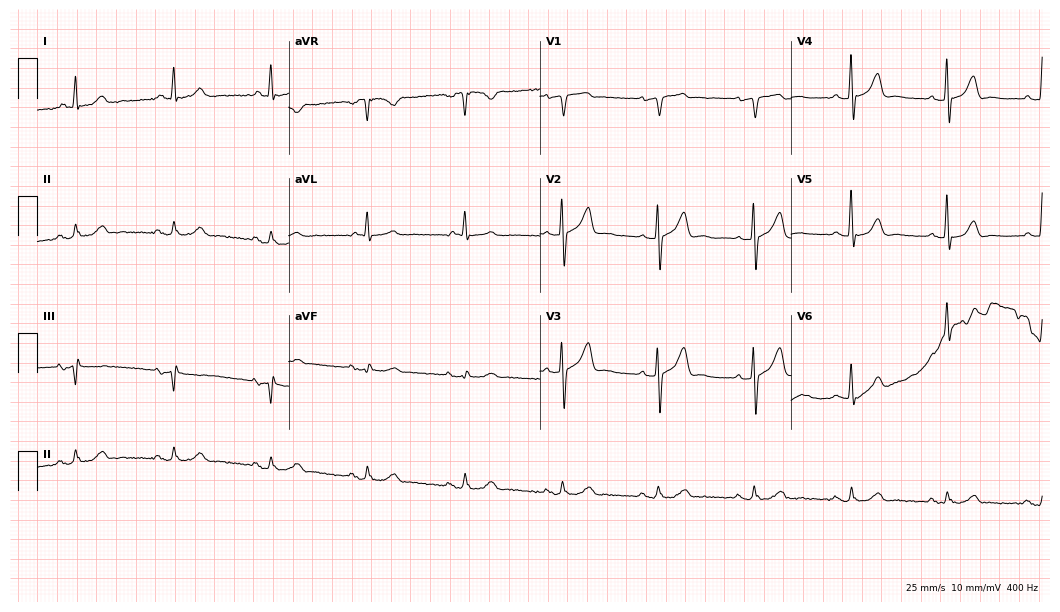
Resting 12-lead electrocardiogram (10.2-second recording at 400 Hz). Patient: a man, 72 years old. None of these six findings is recorded: first-degree AV block, right bundle branch block (RBBB), left bundle branch block (LBBB), sinus bradycardia, atrial fibrillation (AF), sinus tachycardia.